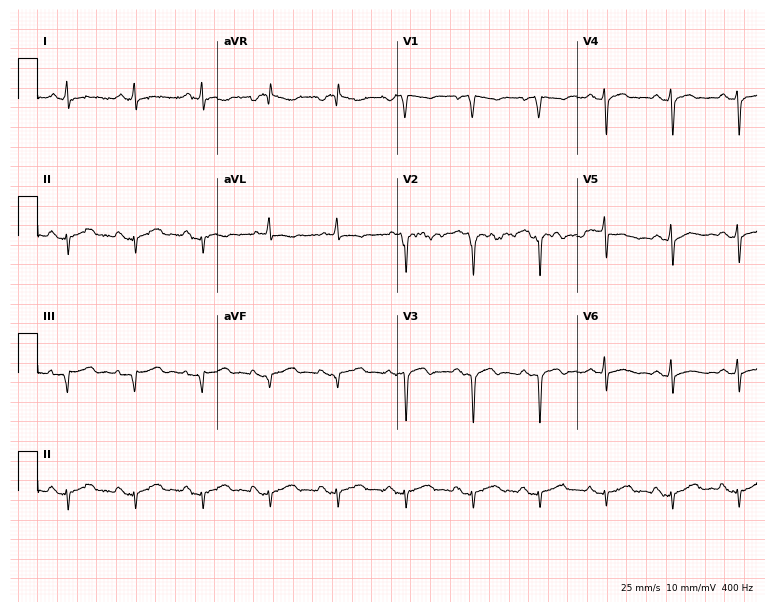
Electrocardiogram, a man, 63 years old. Of the six screened findings (first-degree AV block, right bundle branch block (RBBB), left bundle branch block (LBBB), sinus bradycardia, atrial fibrillation (AF), sinus tachycardia), none is recorded.